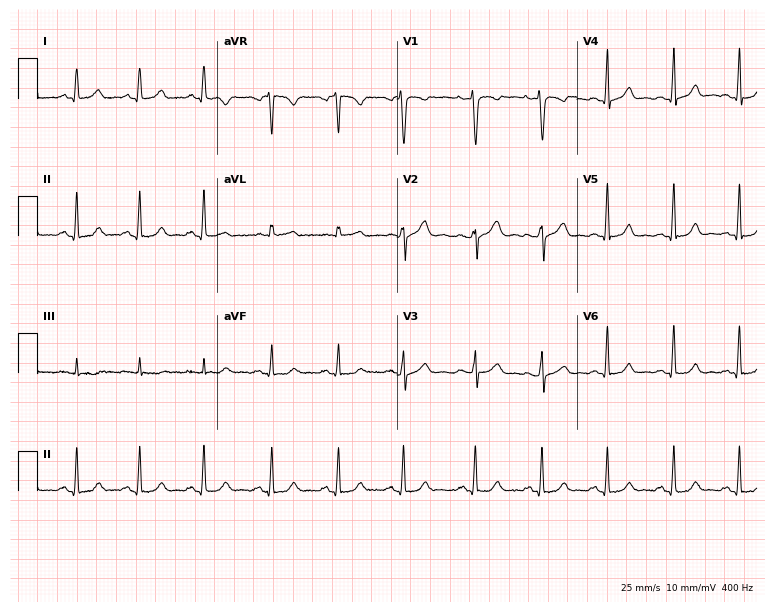
12-lead ECG (7.3-second recording at 400 Hz) from a 25-year-old woman. Labelled as a normal ECG.